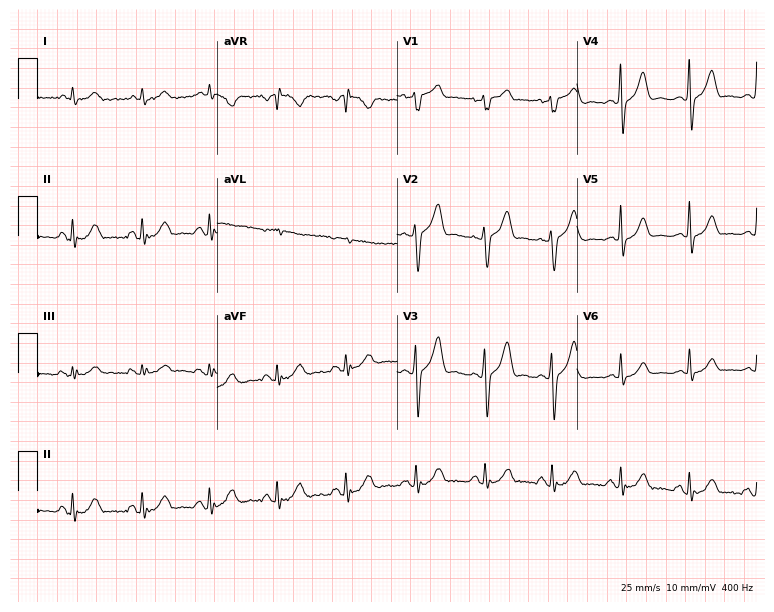
Standard 12-lead ECG recorded from a male patient, 72 years old. None of these six findings is recorded: first-degree AV block, right bundle branch block (RBBB), left bundle branch block (LBBB), sinus bradycardia, atrial fibrillation (AF), sinus tachycardia.